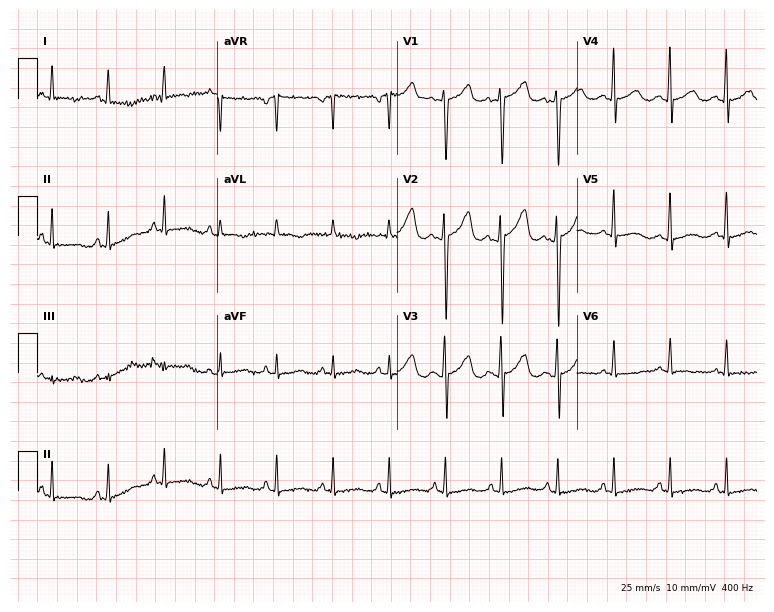
12-lead ECG from a female, 43 years old. Recorded interpretation: within normal limits.